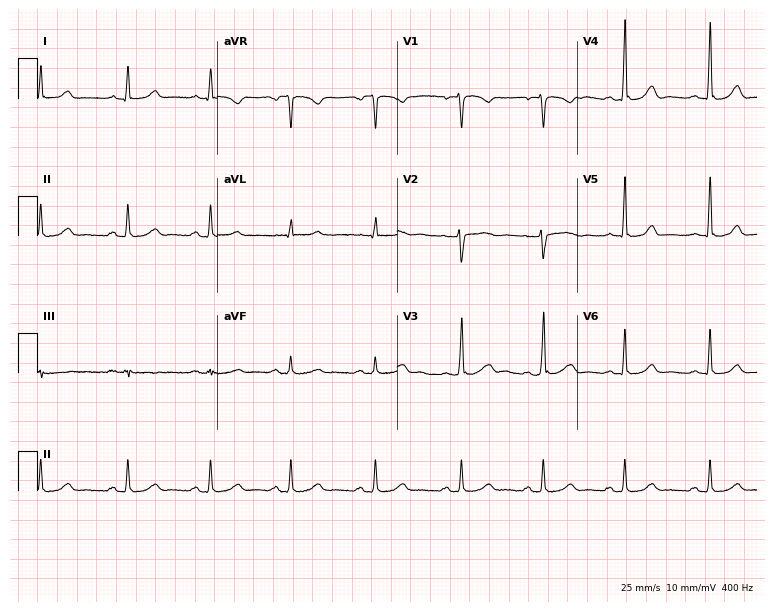
12-lead ECG from a female patient, 39 years old. Screened for six findings — first-degree AV block, right bundle branch block, left bundle branch block, sinus bradycardia, atrial fibrillation, sinus tachycardia — none is recorded.